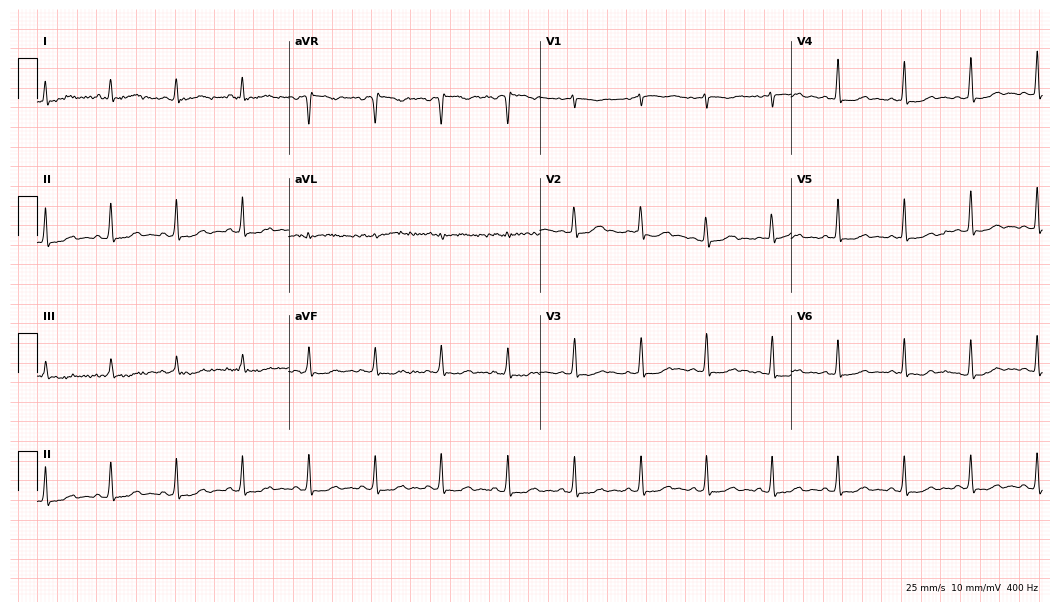
Standard 12-lead ECG recorded from a female patient, 46 years old (10.2-second recording at 400 Hz). None of these six findings is recorded: first-degree AV block, right bundle branch block, left bundle branch block, sinus bradycardia, atrial fibrillation, sinus tachycardia.